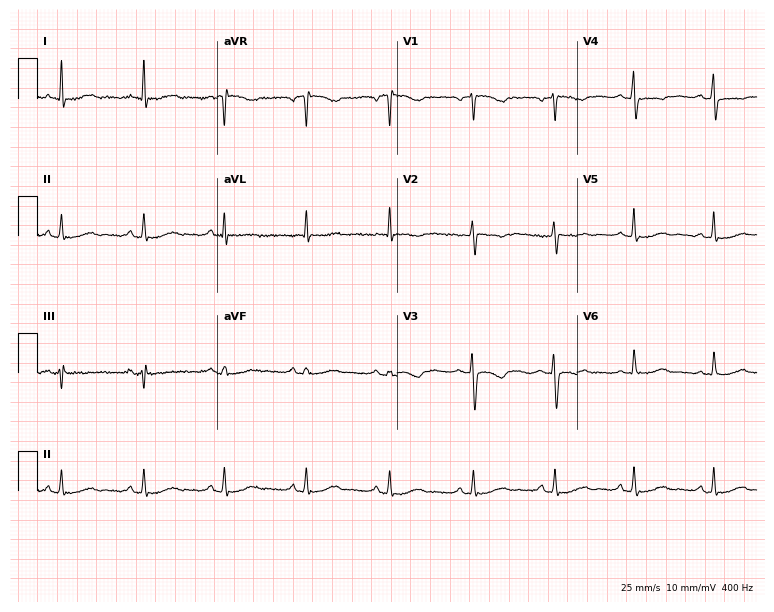
Resting 12-lead electrocardiogram (7.3-second recording at 400 Hz). Patient: a 48-year-old female. None of these six findings is recorded: first-degree AV block, right bundle branch block (RBBB), left bundle branch block (LBBB), sinus bradycardia, atrial fibrillation (AF), sinus tachycardia.